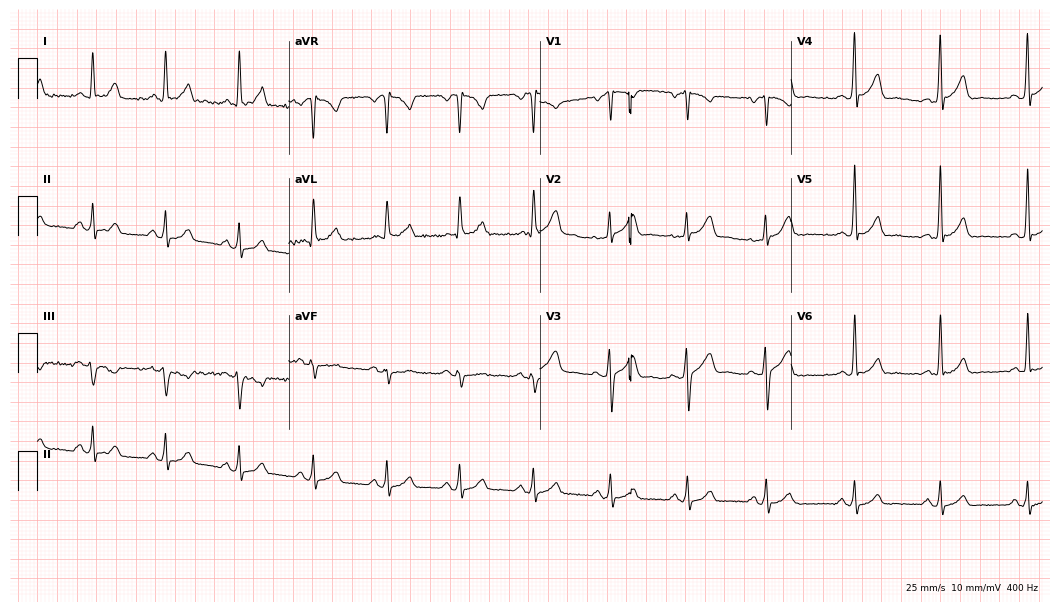
ECG — a 49-year-old man. Screened for six findings — first-degree AV block, right bundle branch block (RBBB), left bundle branch block (LBBB), sinus bradycardia, atrial fibrillation (AF), sinus tachycardia — none is recorded.